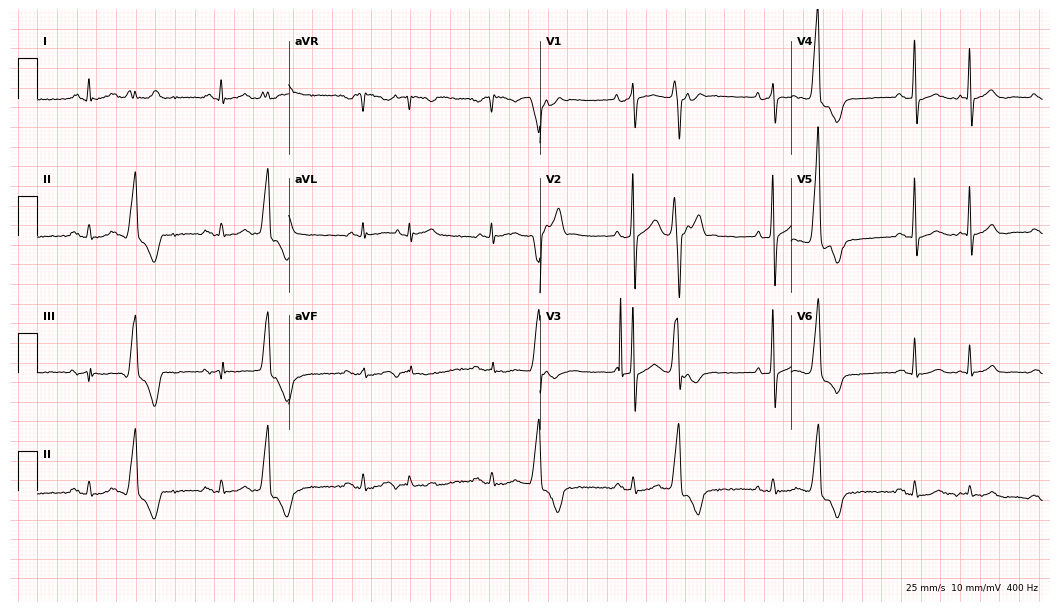
ECG (10.2-second recording at 400 Hz) — a man, 84 years old. Screened for six findings — first-degree AV block, right bundle branch block, left bundle branch block, sinus bradycardia, atrial fibrillation, sinus tachycardia — none is recorded. Only these six findings were labelled.